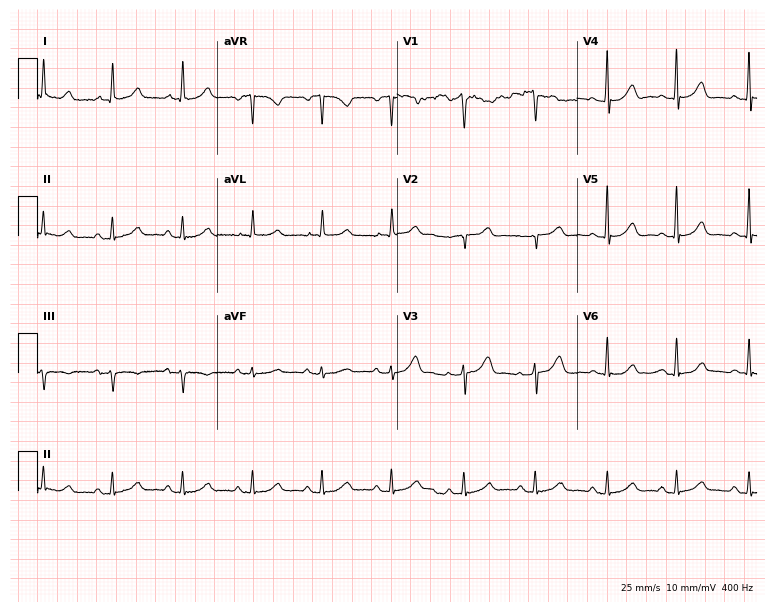
Resting 12-lead electrocardiogram. Patient: a 75-year-old woman. Read as a normal ECG.